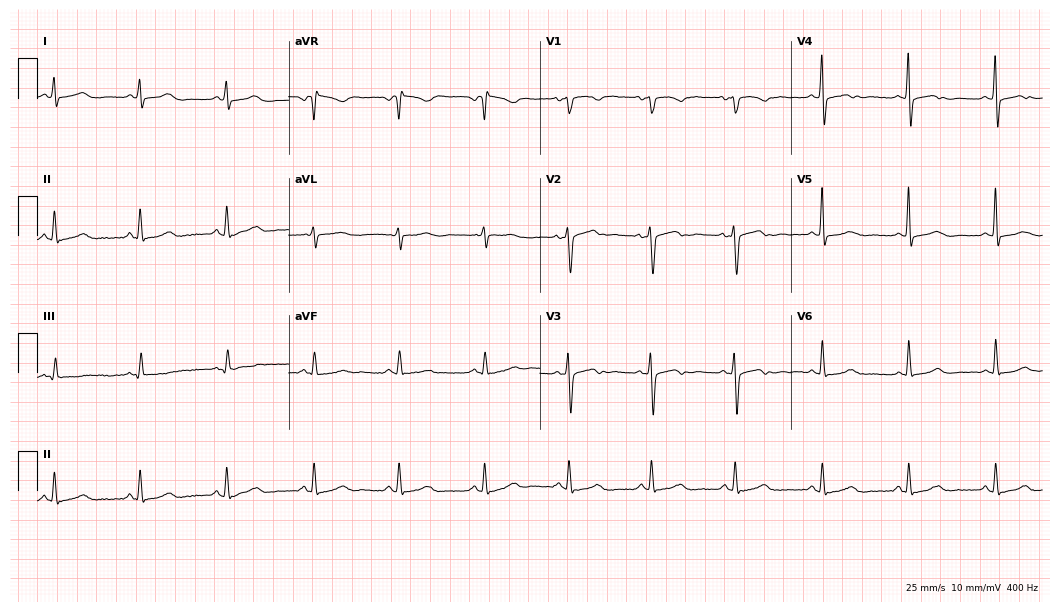
Electrocardiogram (10.2-second recording at 400 Hz), a 53-year-old female. Overall reading on record: normal ECG.